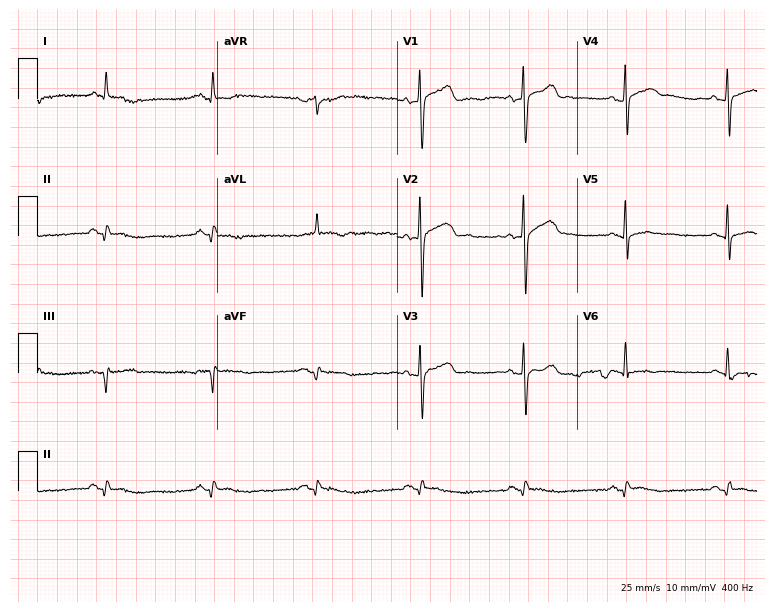
12-lead ECG from a male patient, 61 years old. Screened for six findings — first-degree AV block, right bundle branch block (RBBB), left bundle branch block (LBBB), sinus bradycardia, atrial fibrillation (AF), sinus tachycardia — none is recorded. Findings outside these six are not listed.